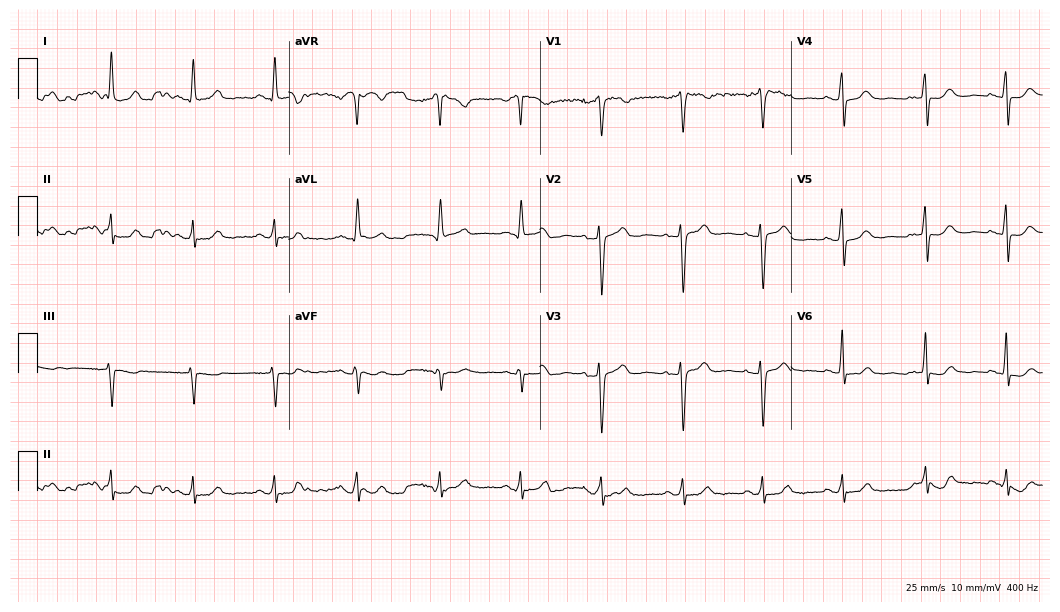
ECG — a female, 63 years old. Labelled as a normal ECG.